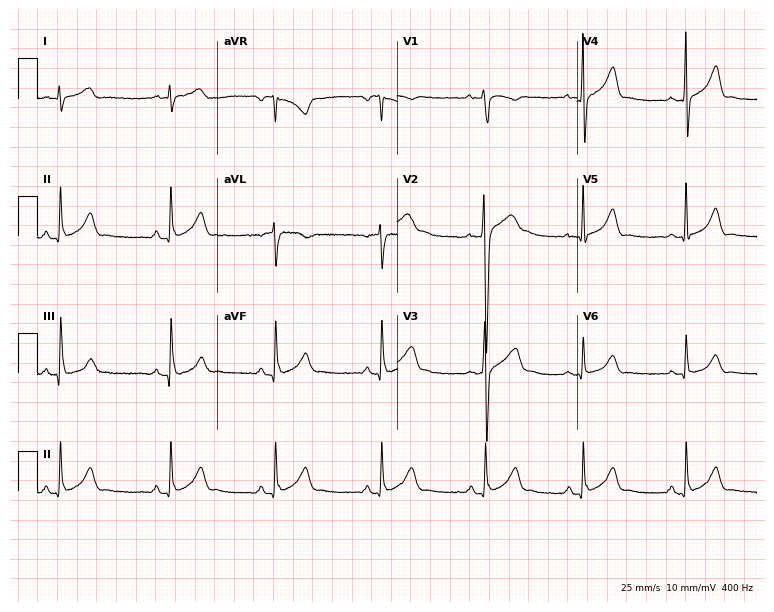
Electrocardiogram, a 22-year-old man. Of the six screened findings (first-degree AV block, right bundle branch block, left bundle branch block, sinus bradycardia, atrial fibrillation, sinus tachycardia), none is recorded. Other findings, if any, are not listed.